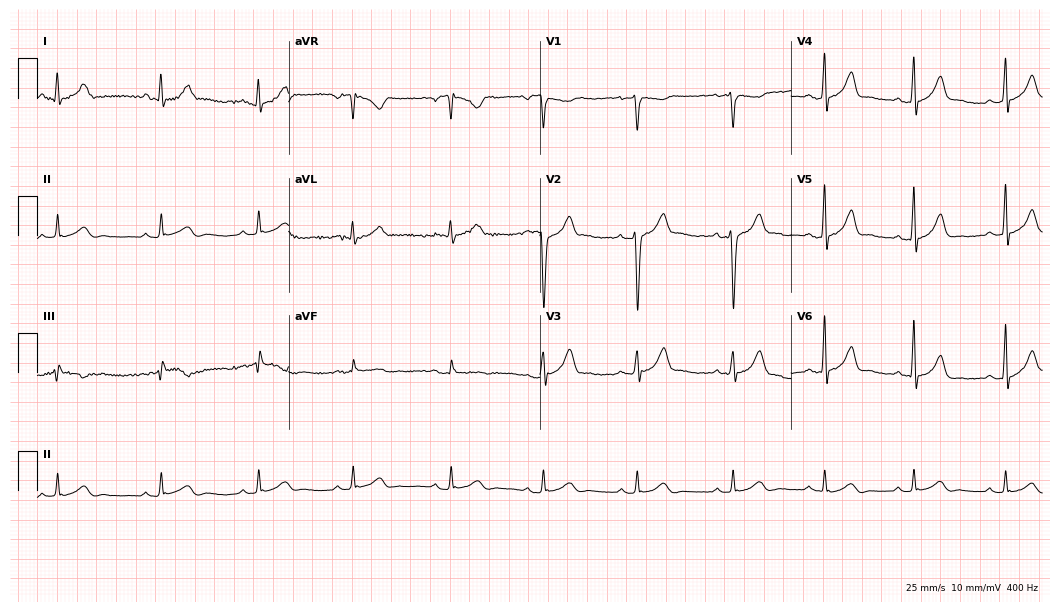
ECG (10.2-second recording at 400 Hz) — a 29-year-old male. Screened for six findings — first-degree AV block, right bundle branch block, left bundle branch block, sinus bradycardia, atrial fibrillation, sinus tachycardia — none is recorded.